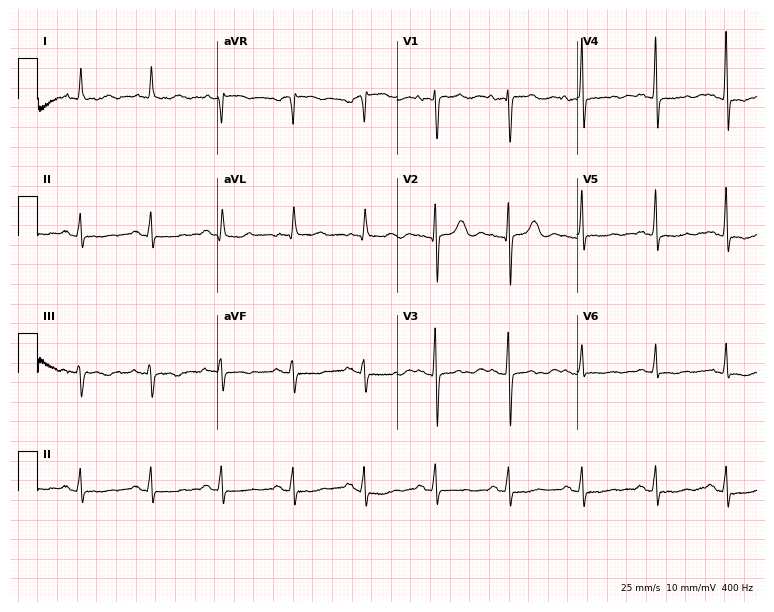
12-lead ECG from a 69-year-old woman. Screened for six findings — first-degree AV block, right bundle branch block (RBBB), left bundle branch block (LBBB), sinus bradycardia, atrial fibrillation (AF), sinus tachycardia — none is recorded. Only these six findings were labelled.